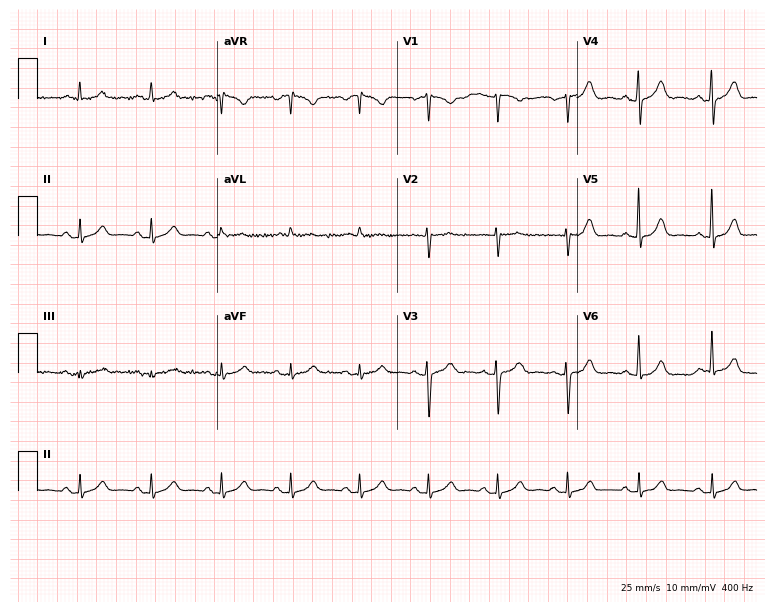
ECG — a female patient, 49 years old. Labelled as a normal ECG.